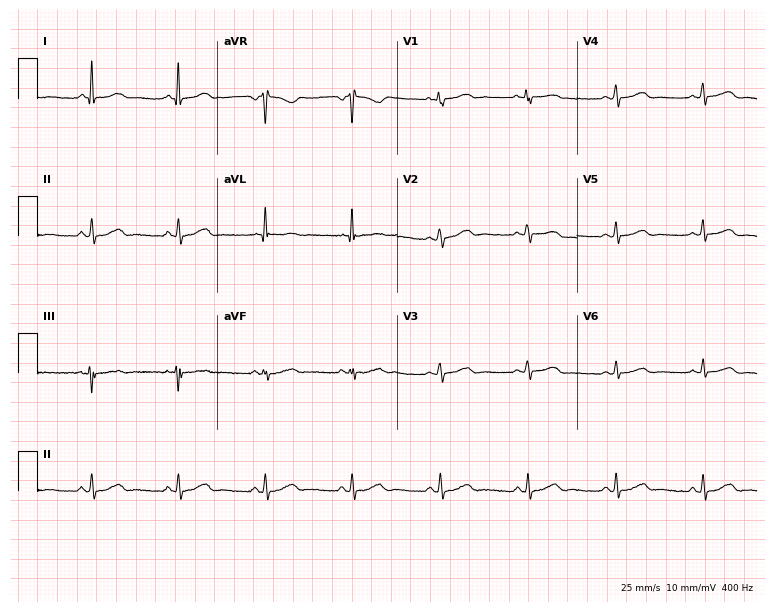
12-lead ECG from a 34-year-old female patient (7.3-second recording at 400 Hz). Recorded interpretation: within normal limits.